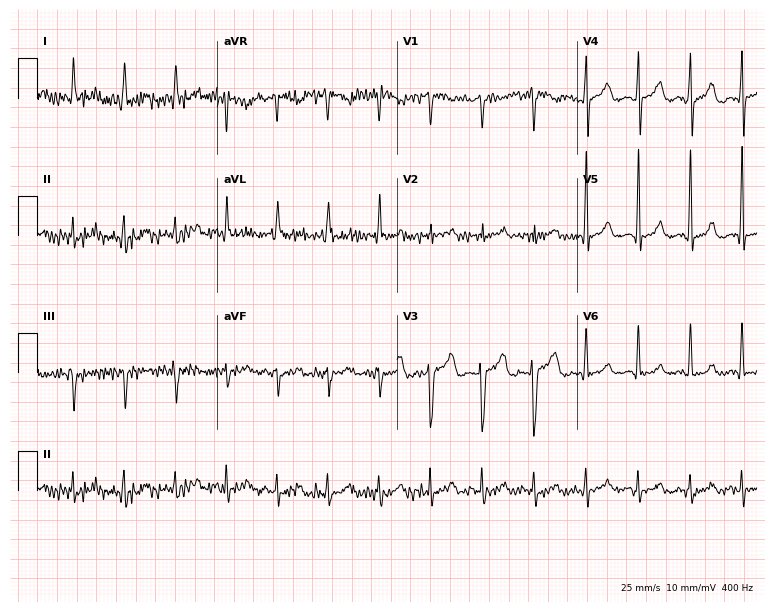
Standard 12-lead ECG recorded from a male patient, 29 years old (7.3-second recording at 400 Hz). None of these six findings is recorded: first-degree AV block, right bundle branch block (RBBB), left bundle branch block (LBBB), sinus bradycardia, atrial fibrillation (AF), sinus tachycardia.